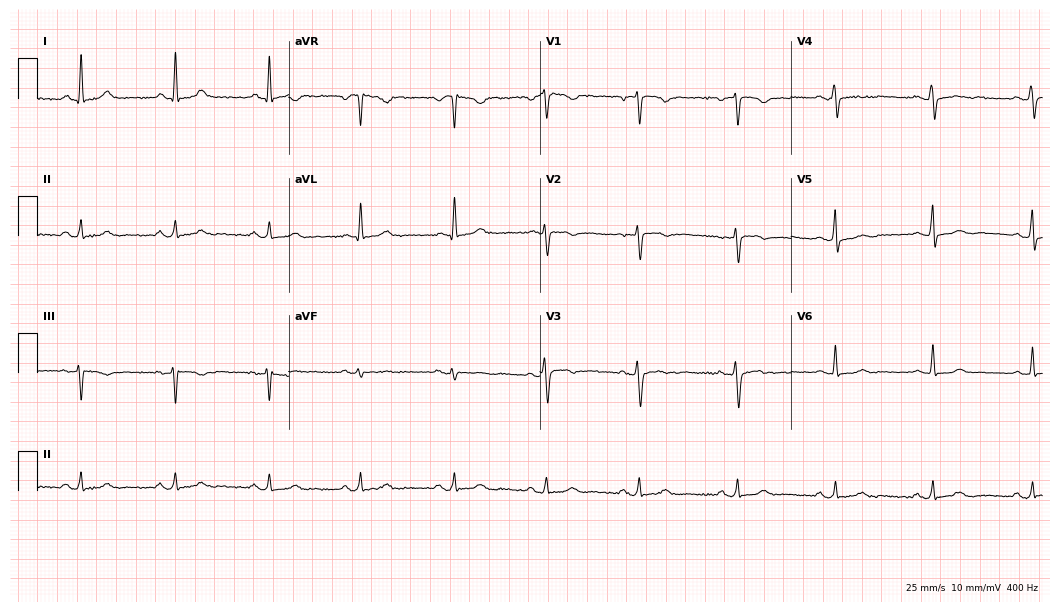
12-lead ECG from a woman, 48 years old. Screened for six findings — first-degree AV block, right bundle branch block, left bundle branch block, sinus bradycardia, atrial fibrillation, sinus tachycardia — none is recorded.